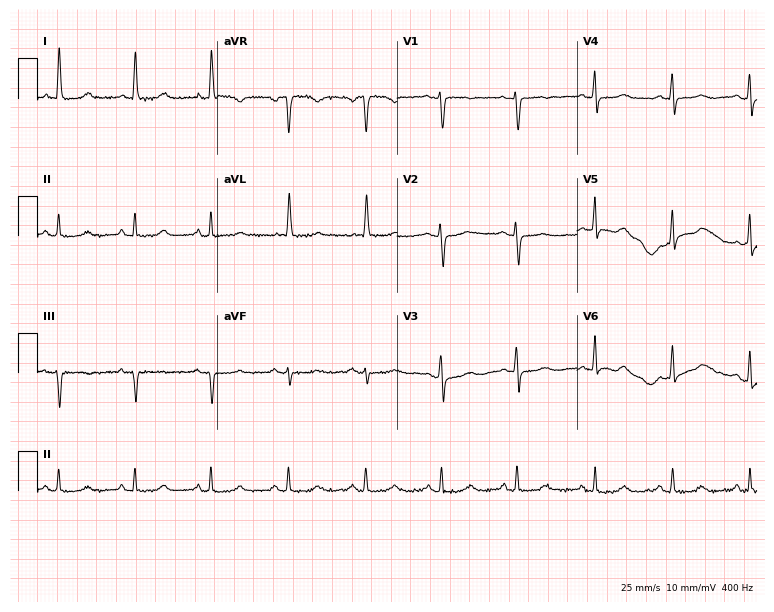
ECG (7.3-second recording at 400 Hz) — a 54-year-old female patient. Screened for six findings — first-degree AV block, right bundle branch block (RBBB), left bundle branch block (LBBB), sinus bradycardia, atrial fibrillation (AF), sinus tachycardia — none is recorded. Other findings, if any, are not listed.